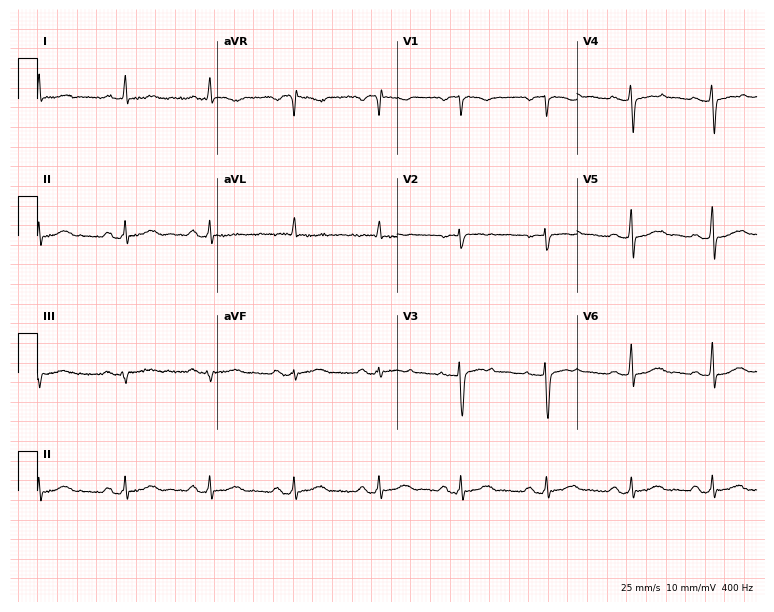
Resting 12-lead electrocardiogram. Patient: a 41-year-old female. None of these six findings is recorded: first-degree AV block, right bundle branch block, left bundle branch block, sinus bradycardia, atrial fibrillation, sinus tachycardia. Findings outside these six are not listed.